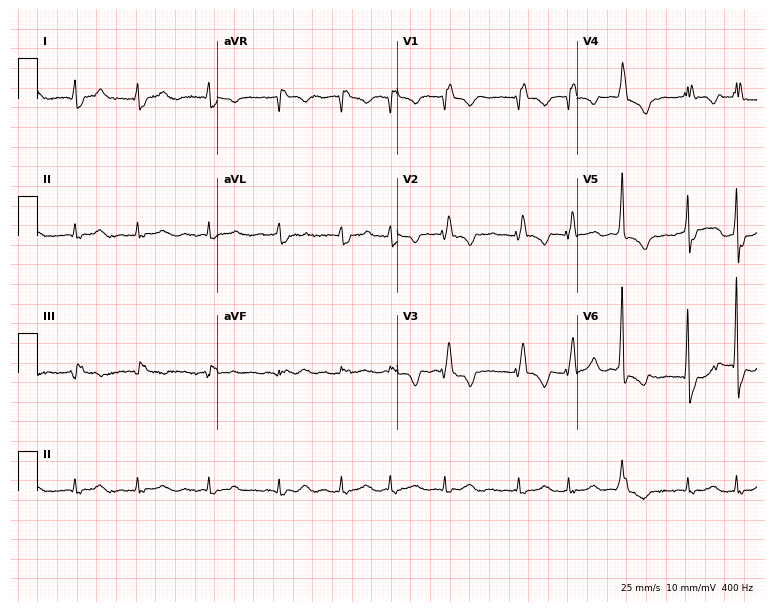
Electrocardiogram (7.3-second recording at 400 Hz), a woman, 76 years old. Interpretation includes right bundle branch block, atrial fibrillation.